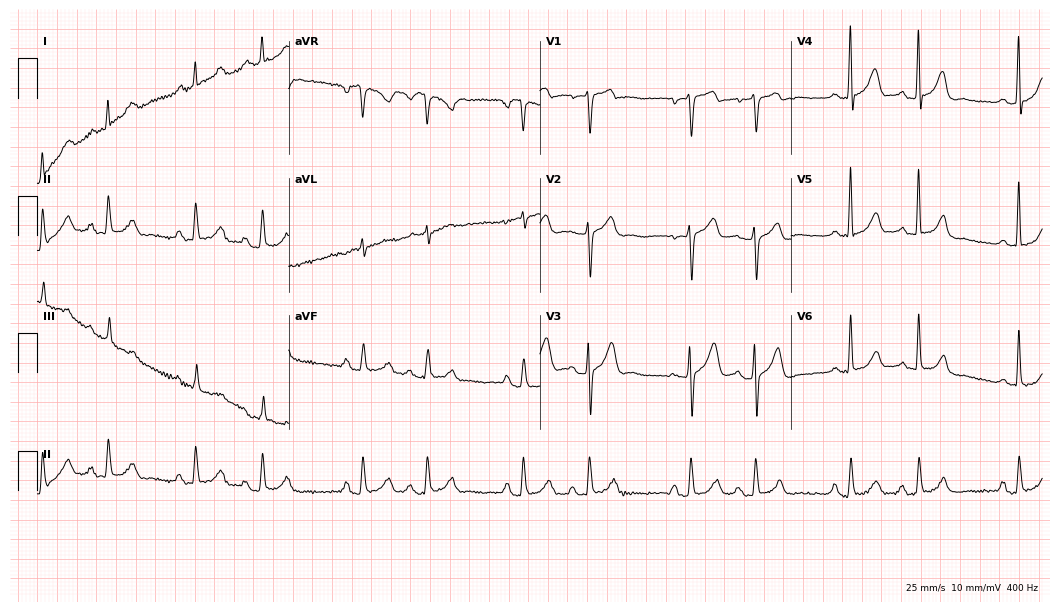
Resting 12-lead electrocardiogram (10.2-second recording at 400 Hz). Patient: a male, 58 years old. None of these six findings is recorded: first-degree AV block, right bundle branch block (RBBB), left bundle branch block (LBBB), sinus bradycardia, atrial fibrillation (AF), sinus tachycardia. Other findings, if any, are not listed.